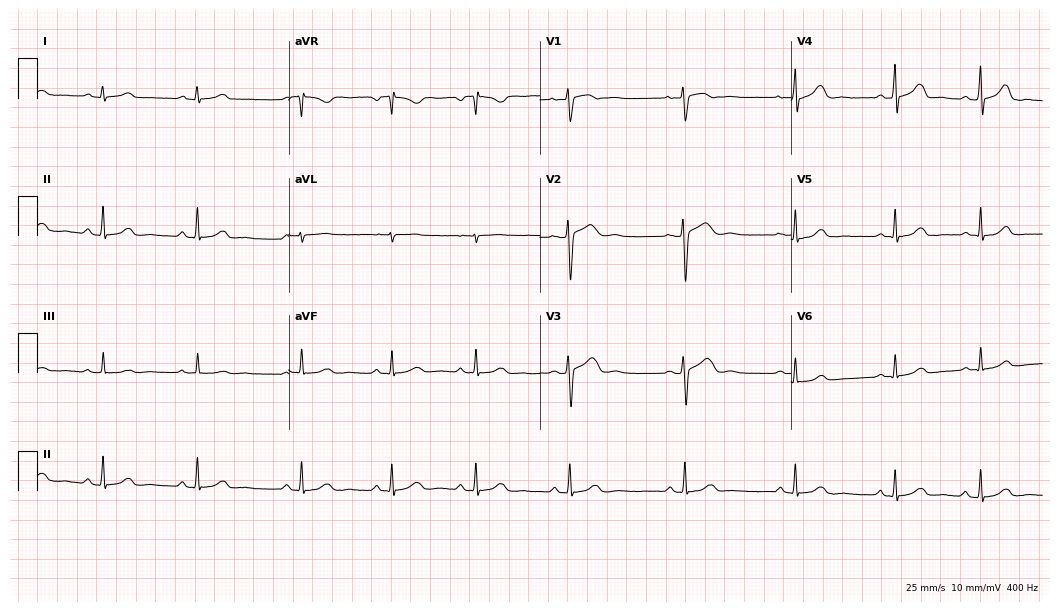
ECG (10.2-second recording at 400 Hz) — a 35-year-old female. Labelled as a normal ECG.